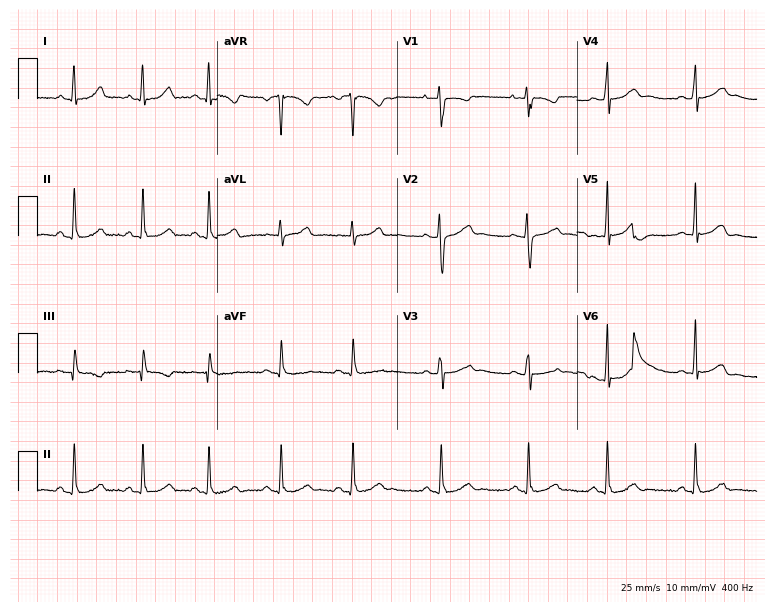
12-lead ECG (7.3-second recording at 400 Hz) from a woman, 24 years old. Labelled as a normal ECG.